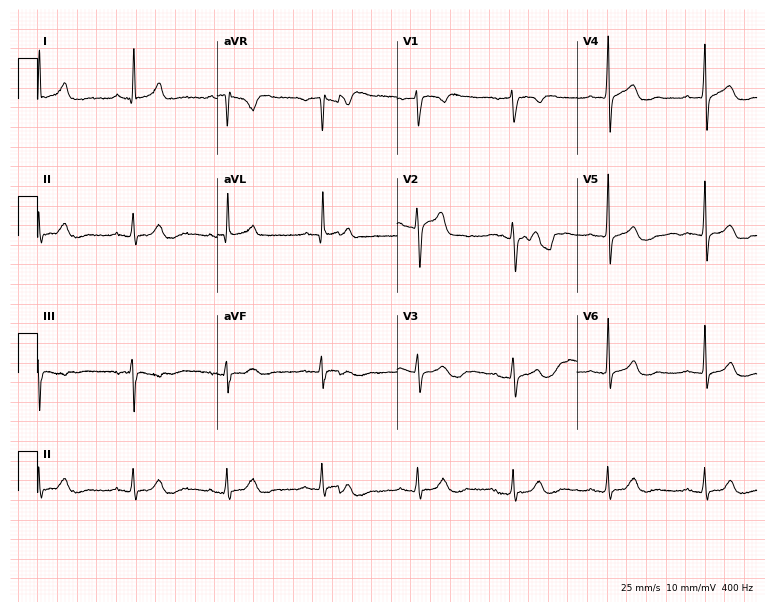
Electrocardiogram, a male, 53 years old. Overall reading on record: normal ECG.